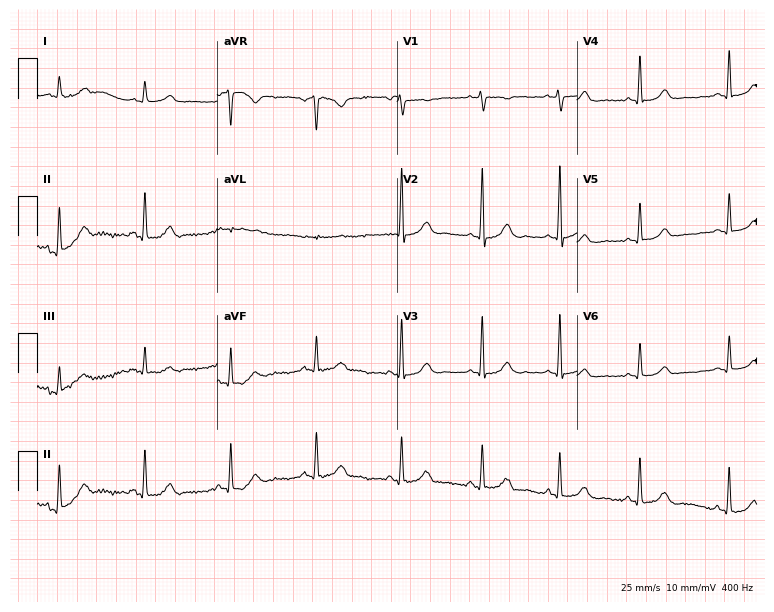
12-lead ECG (7.3-second recording at 400 Hz) from a 28-year-old female patient. Screened for six findings — first-degree AV block, right bundle branch block (RBBB), left bundle branch block (LBBB), sinus bradycardia, atrial fibrillation (AF), sinus tachycardia — none is recorded.